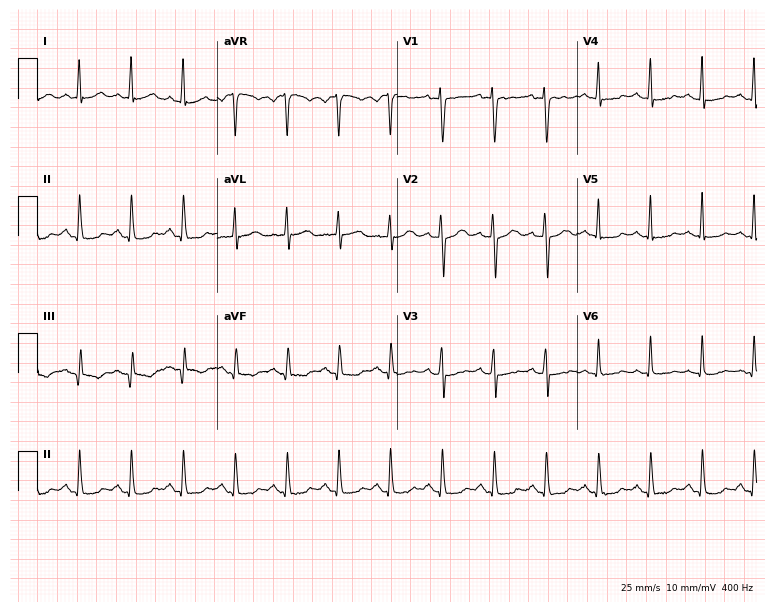
Resting 12-lead electrocardiogram. Patient: a female, 40 years old. The tracing shows sinus tachycardia (a sinus rate of 100 beats per minute or more).